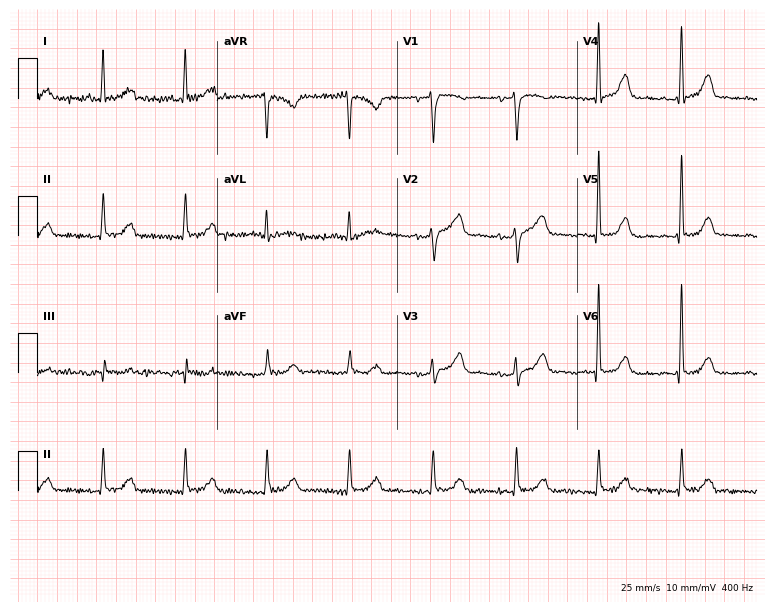
12-lead ECG (7.3-second recording at 400 Hz) from a woman, 79 years old. Labelled as a normal ECG.